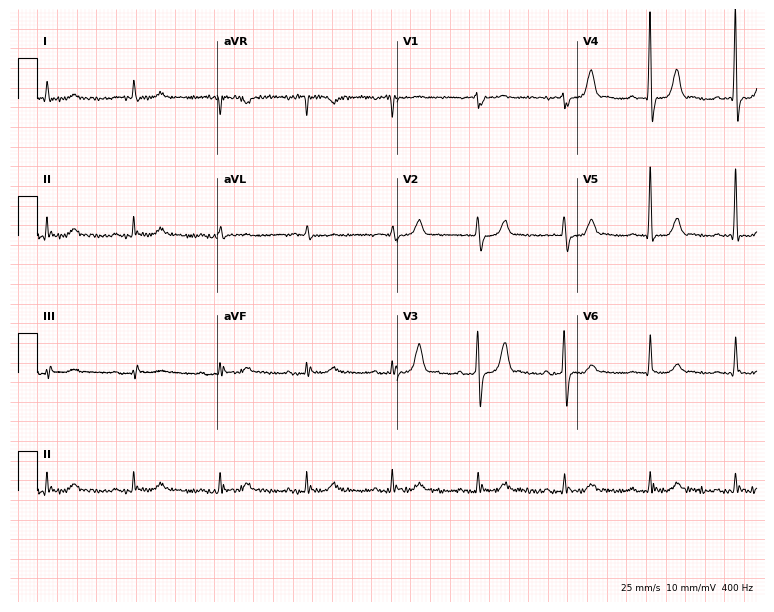
Standard 12-lead ECG recorded from an 84-year-old man. Read as a normal ECG.